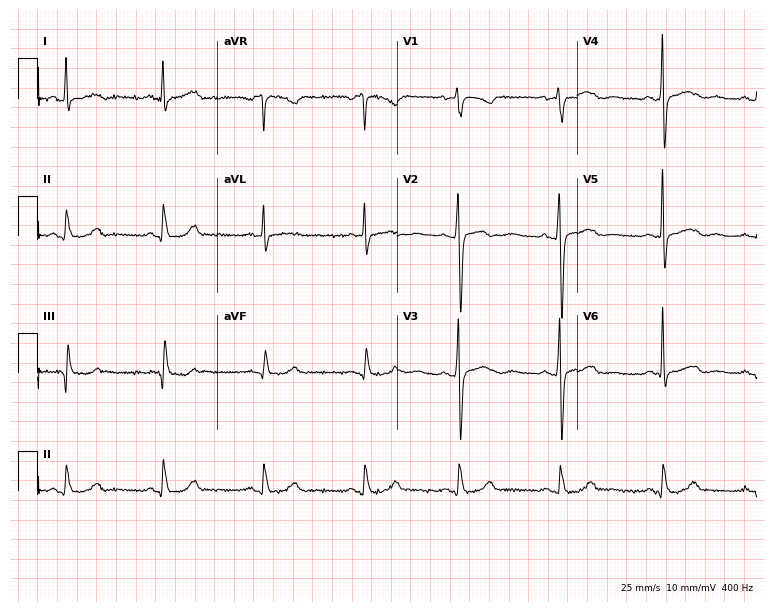
12-lead ECG from a 53-year-old woman. Labelled as a normal ECG.